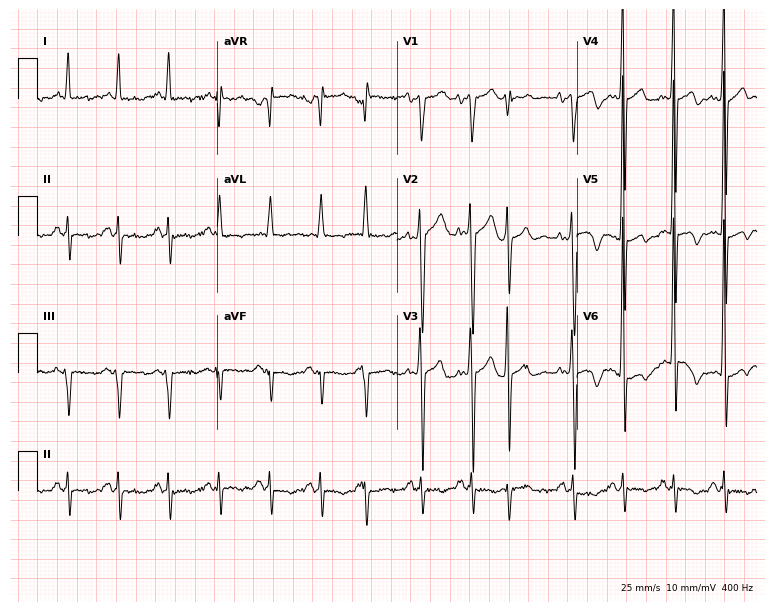
Resting 12-lead electrocardiogram. Patient: a 55-year-old male. The tracing shows sinus tachycardia (a sinus rate of 100 beats per minute or more).